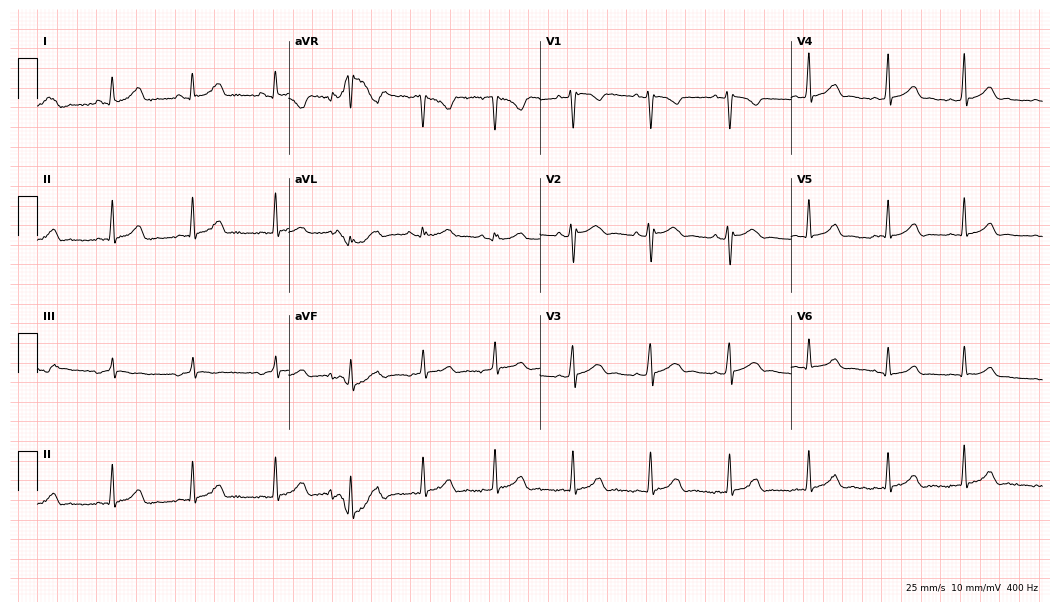
ECG (10.2-second recording at 400 Hz) — a 23-year-old woman. Labelled as a normal ECG.